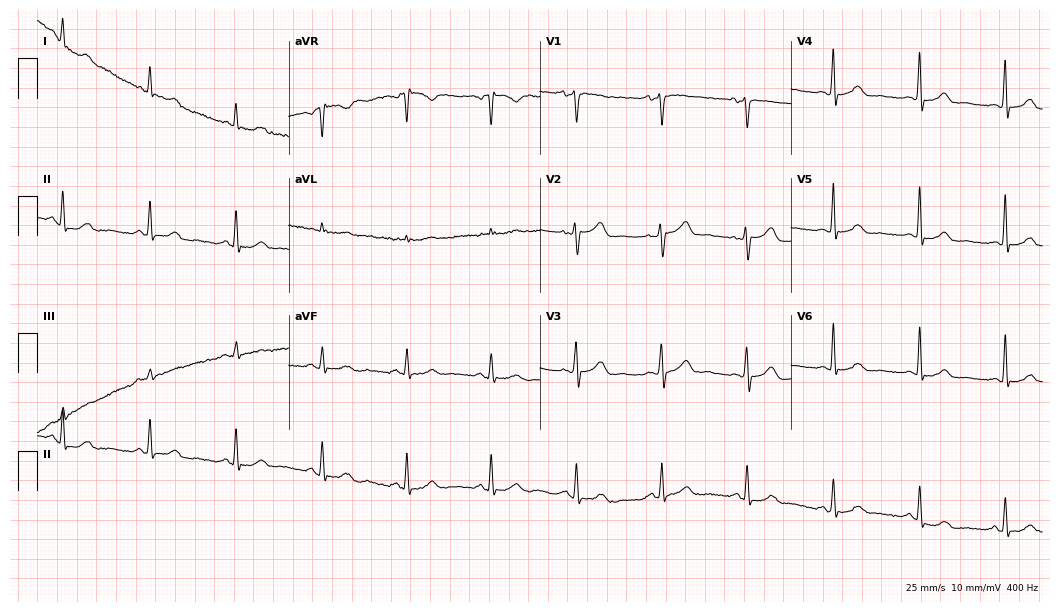
Electrocardiogram (10.2-second recording at 400 Hz), a male patient, 62 years old. Overall reading on record: normal ECG.